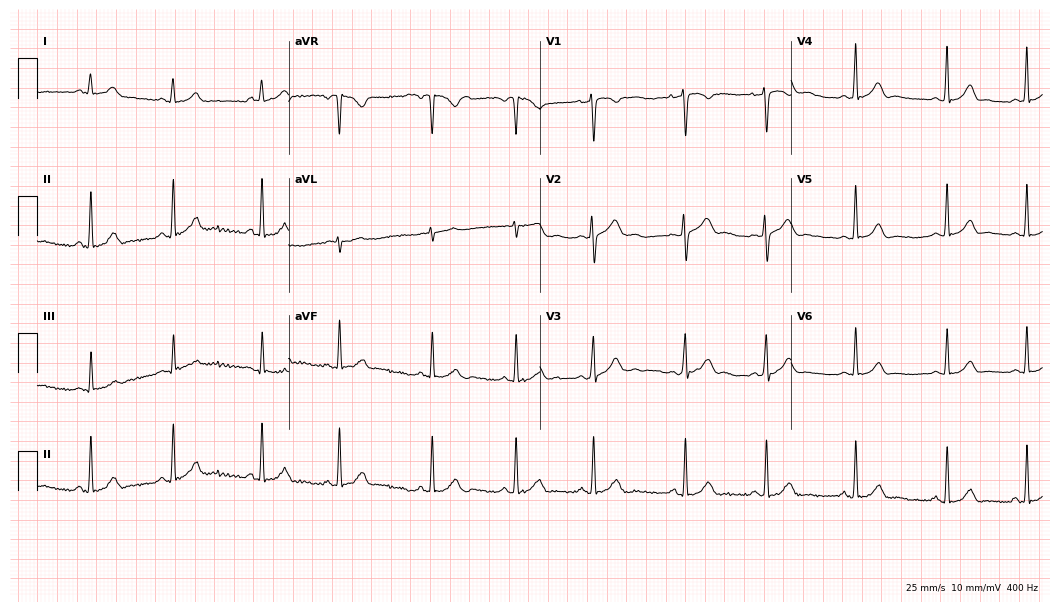
Standard 12-lead ECG recorded from a 19-year-old female (10.2-second recording at 400 Hz). Read as a normal ECG.